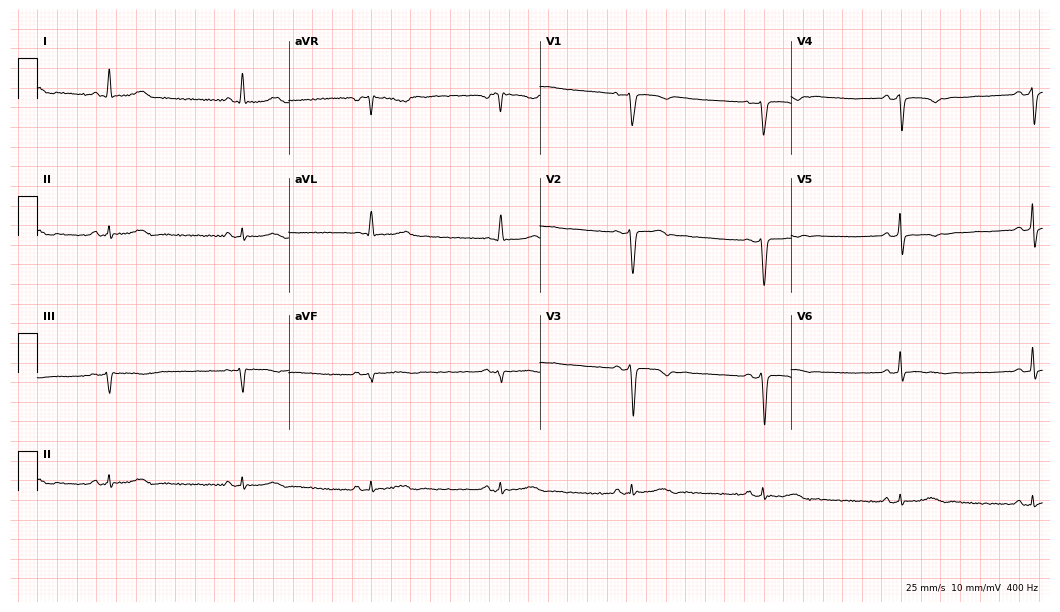
12-lead ECG from a woman, 43 years old. Shows sinus bradycardia (a sinus rate of 50 beats per minute or less).